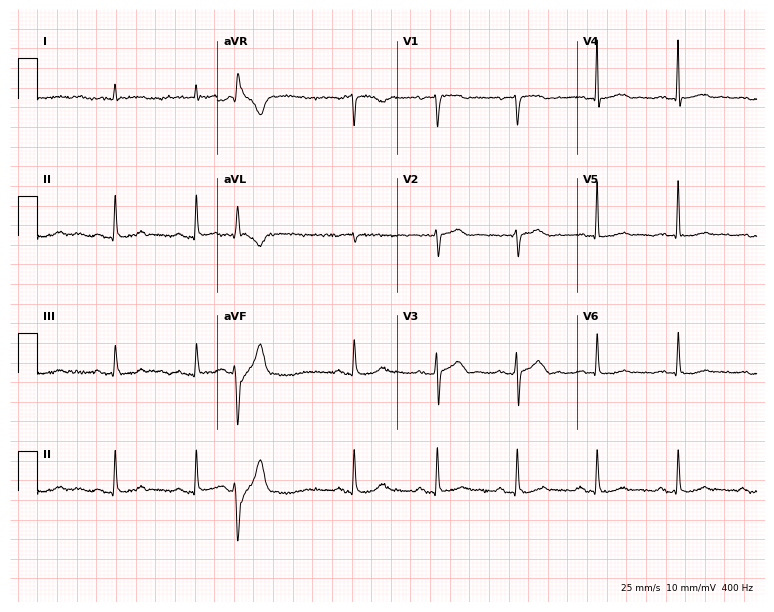
12-lead ECG from an 85-year-old female patient. No first-degree AV block, right bundle branch block, left bundle branch block, sinus bradycardia, atrial fibrillation or sinus tachycardia recorded for this tracing.